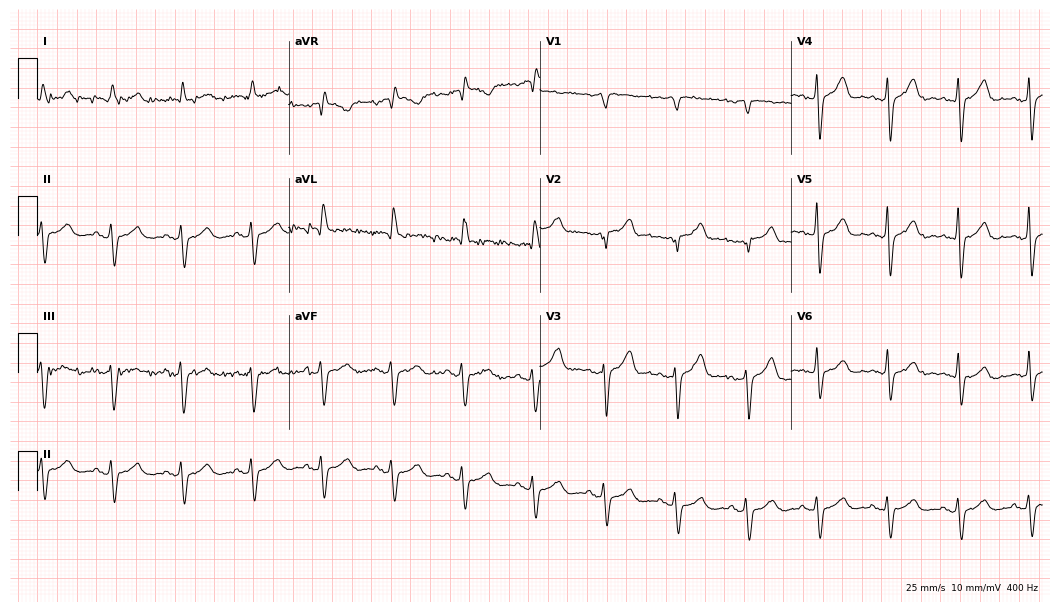
12-lead ECG from a male, 75 years old. No first-degree AV block, right bundle branch block, left bundle branch block, sinus bradycardia, atrial fibrillation or sinus tachycardia recorded for this tracing.